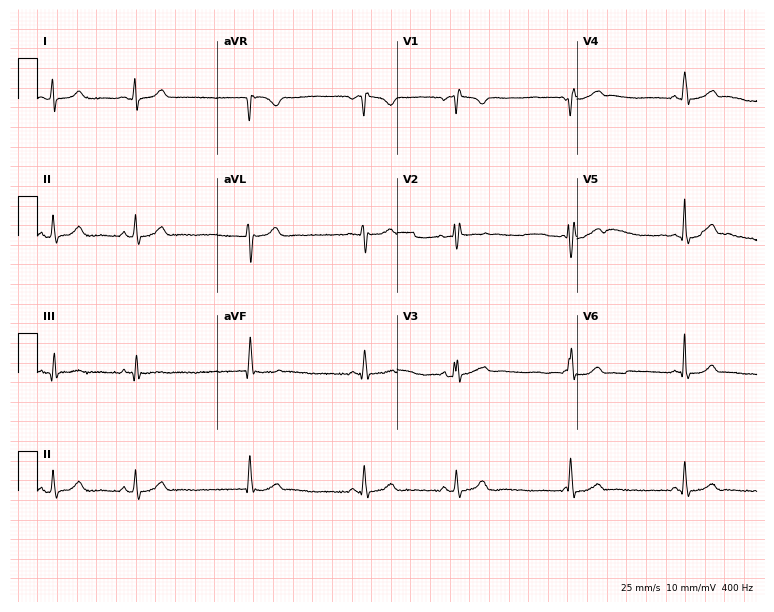
12-lead ECG from a 21-year-old female patient. Screened for six findings — first-degree AV block, right bundle branch block, left bundle branch block, sinus bradycardia, atrial fibrillation, sinus tachycardia — none is recorded. Findings outside these six are not listed.